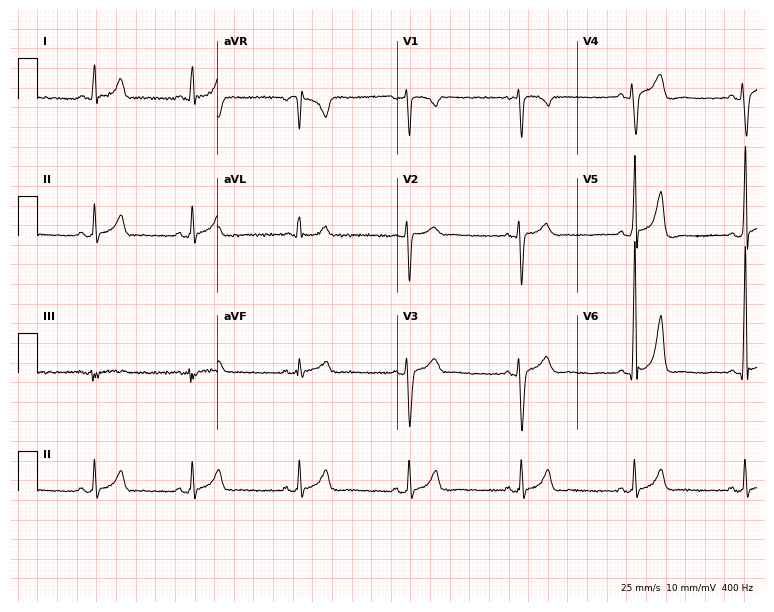
12-lead ECG (7.3-second recording at 400 Hz) from a male patient, 40 years old. Screened for six findings — first-degree AV block, right bundle branch block, left bundle branch block, sinus bradycardia, atrial fibrillation, sinus tachycardia — none is recorded. Findings outside these six are not listed.